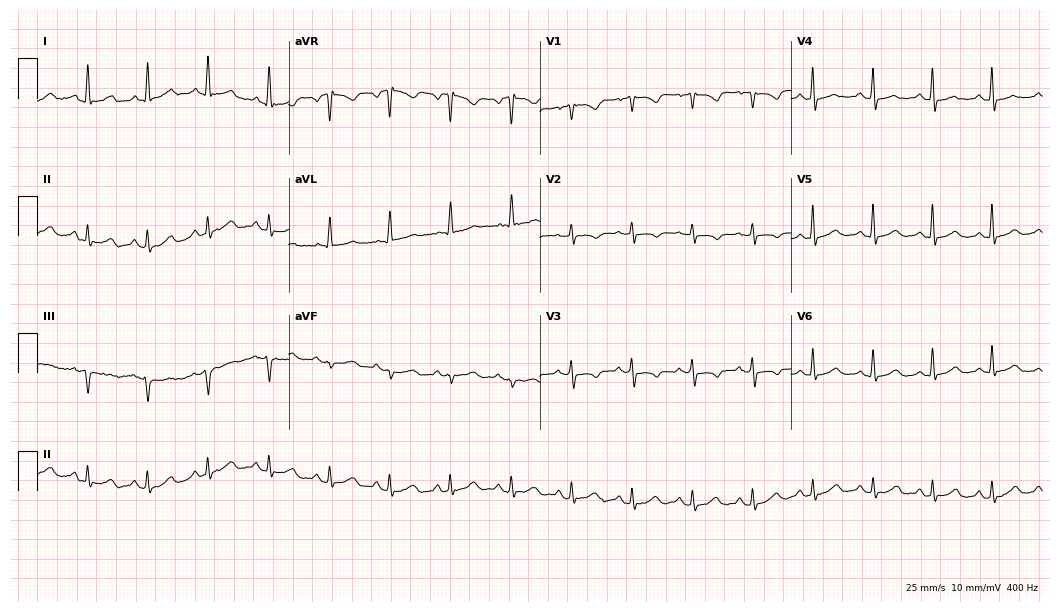
Resting 12-lead electrocardiogram. Patient: a female, 55 years old. None of these six findings is recorded: first-degree AV block, right bundle branch block (RBBB), left bundle branch block (LBBB), sinus bradycardia, atrial fibrillation (AF), sinus tachycardia.